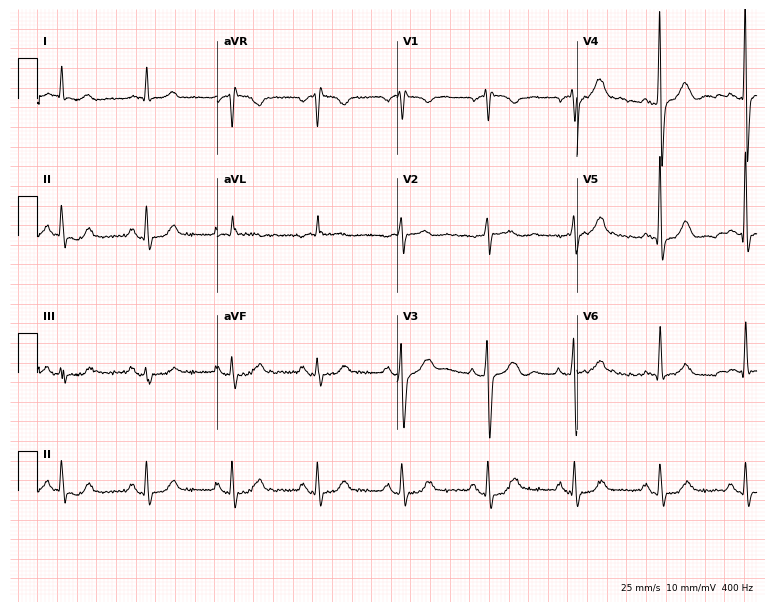
12-lead ECG from a female, 77 years old (7.3-second recording at 400 Hz). Recorded interpretation: within normal limits.